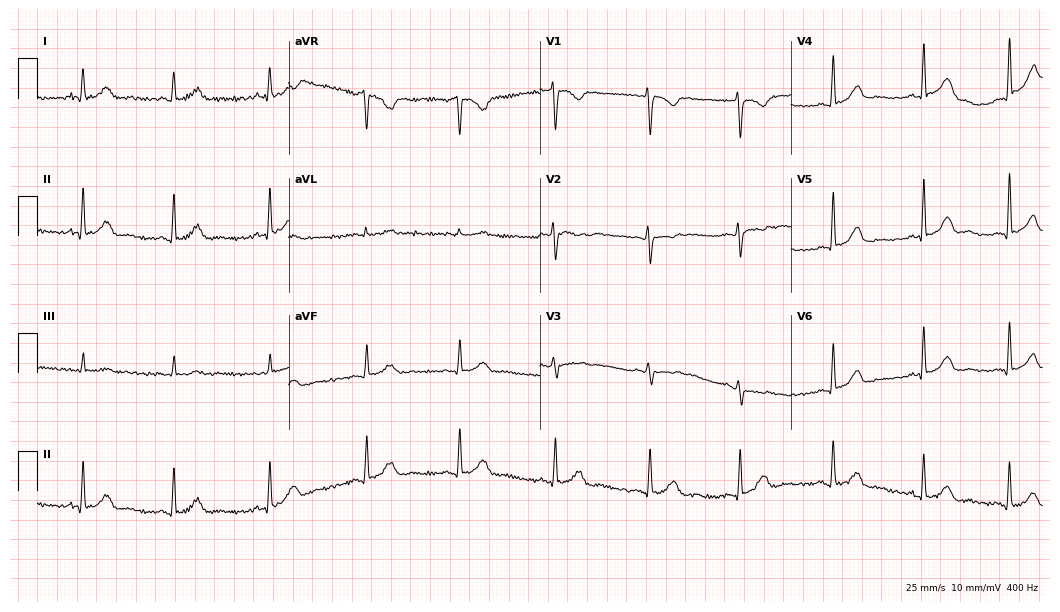
12-lead ECG from a 44-year-old female patient. Recorded interpretation: within normal limits.